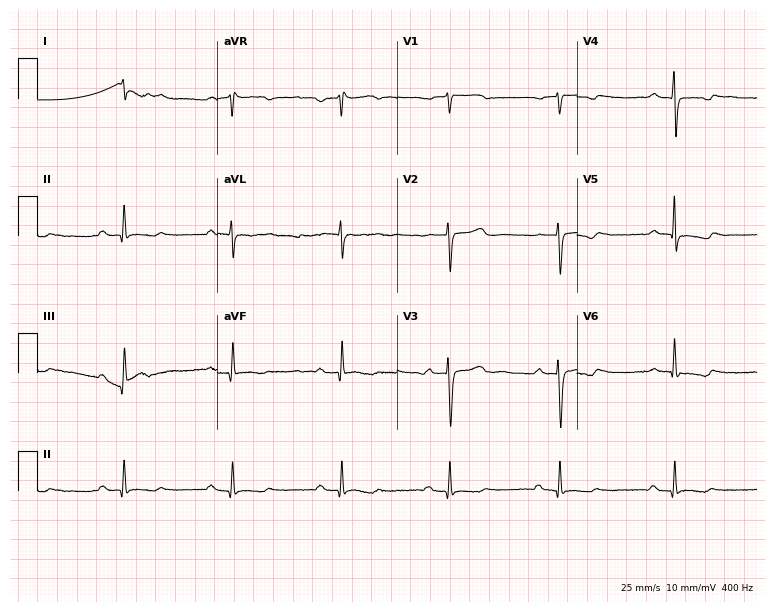
ECG (7.3-second recording at 400 Hz) — a female patient, 51 years old. Findings include first-degree AV block.